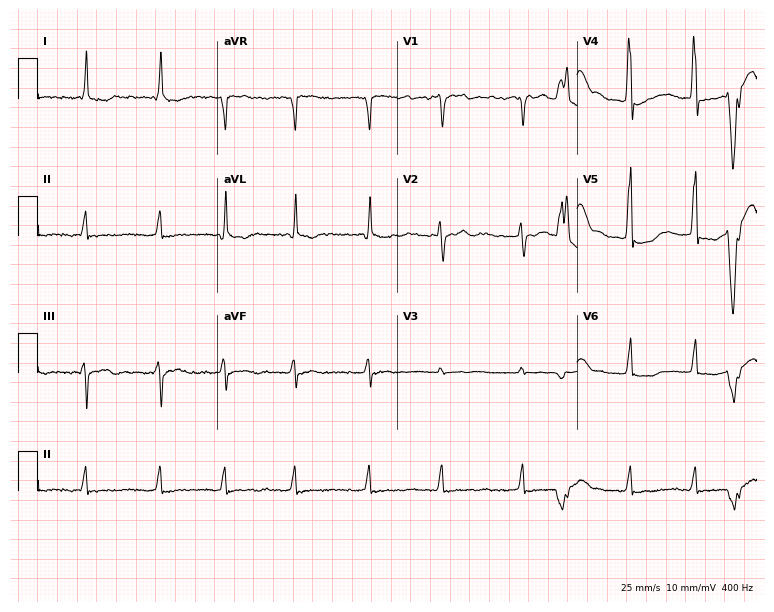
Electrocardiogram, a man, 79 years old. Interpretation includes atrial fibrillation (AF).